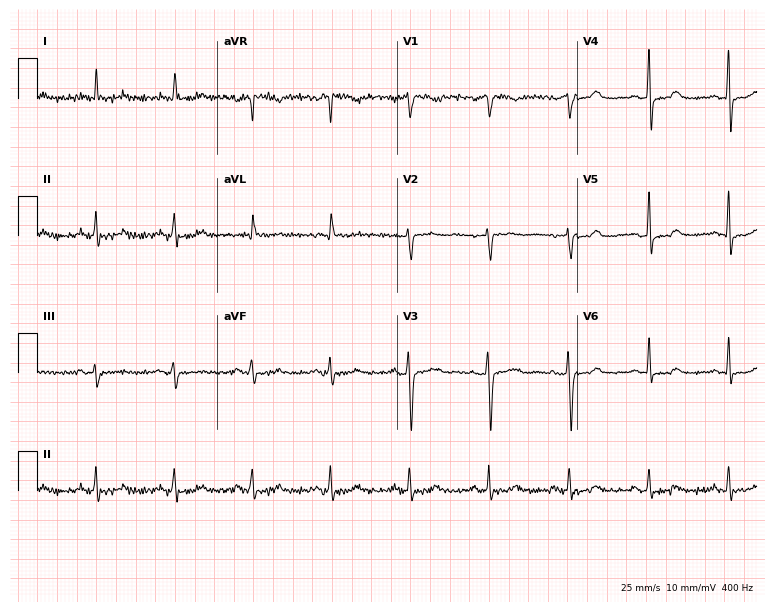
Standard 12-lead ECG recorded from a female, 49 years old. Read as a normal ECG.